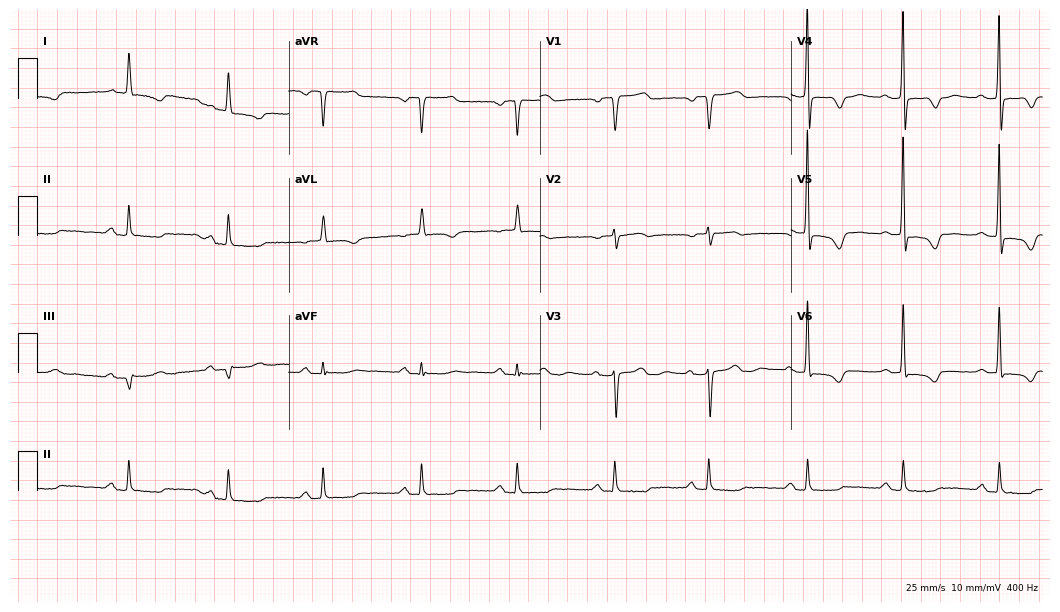
Electrocardiogram, an 80-year-old woman. Overall reading on record: normal ECG.